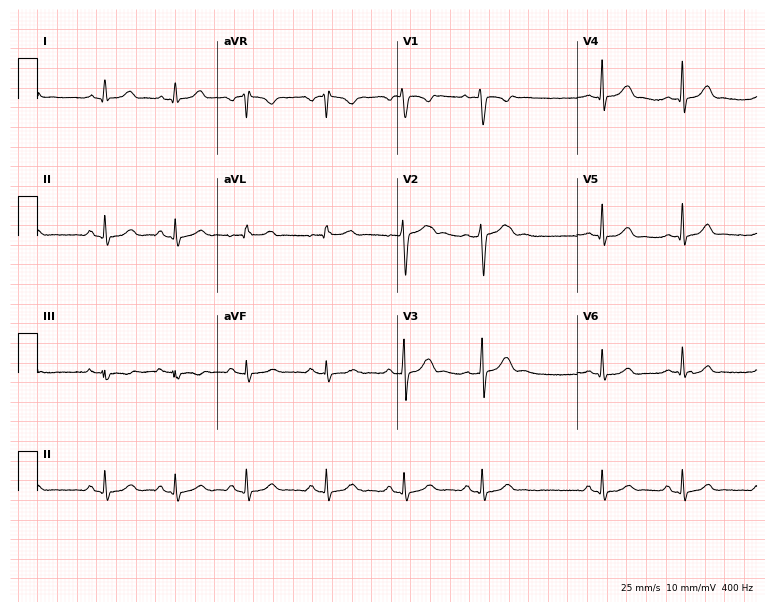
Standard 12-lead ECG recorded from a 20-year-old female (7.3-second recording at 400 Hz). Read as a normal ECG.